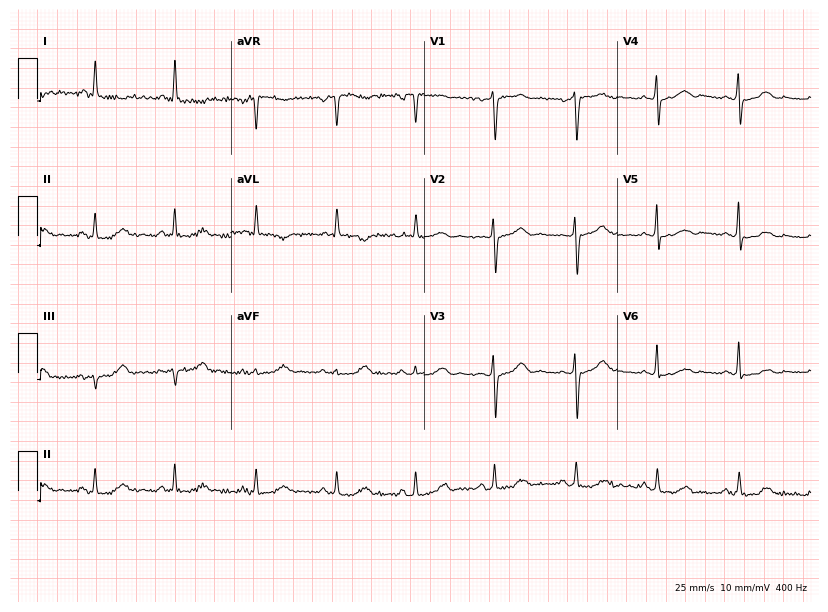
Resting 12-lead electrocardiogram. Patient: a woman, 70 years old. Read as a normal ECG.